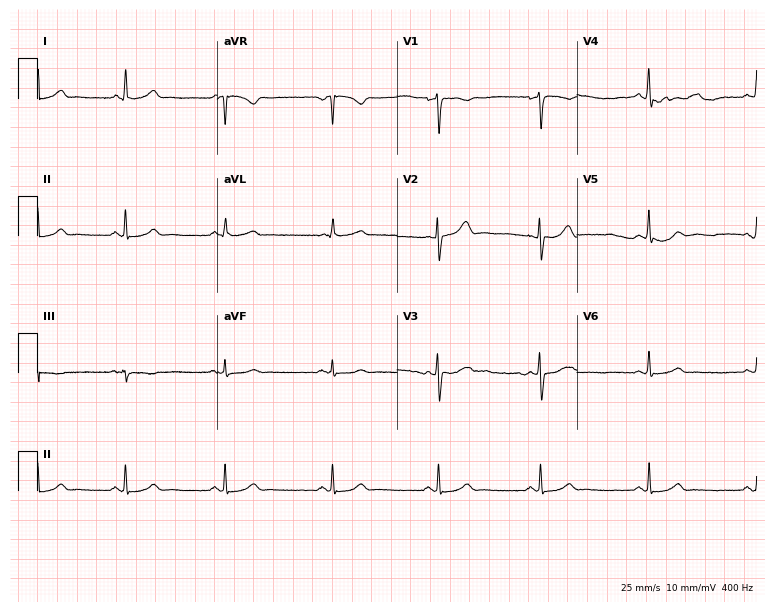
ECG (7.3-second recording at 400 Hz) — a 43-year-old woman. Labelled as a normal ECG.